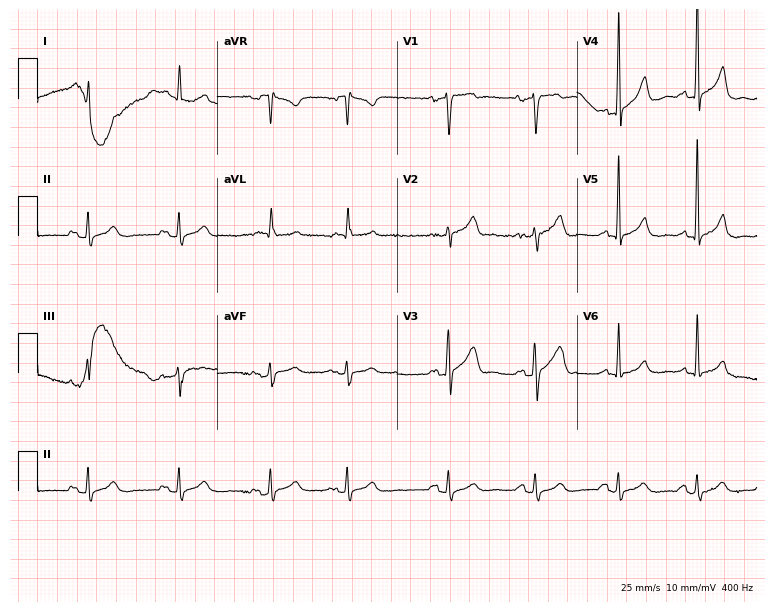
Standard 12-lead ECG recorded from a male, 69 years old (7.3-second recording at 400 Hz). None of these six findings is recorded: first-degree AV block, right bundle branch block, left bundle branch block, sinus bradycardia, atrial fibrillation, sinus tachycardia. Only these six findings were labelled.